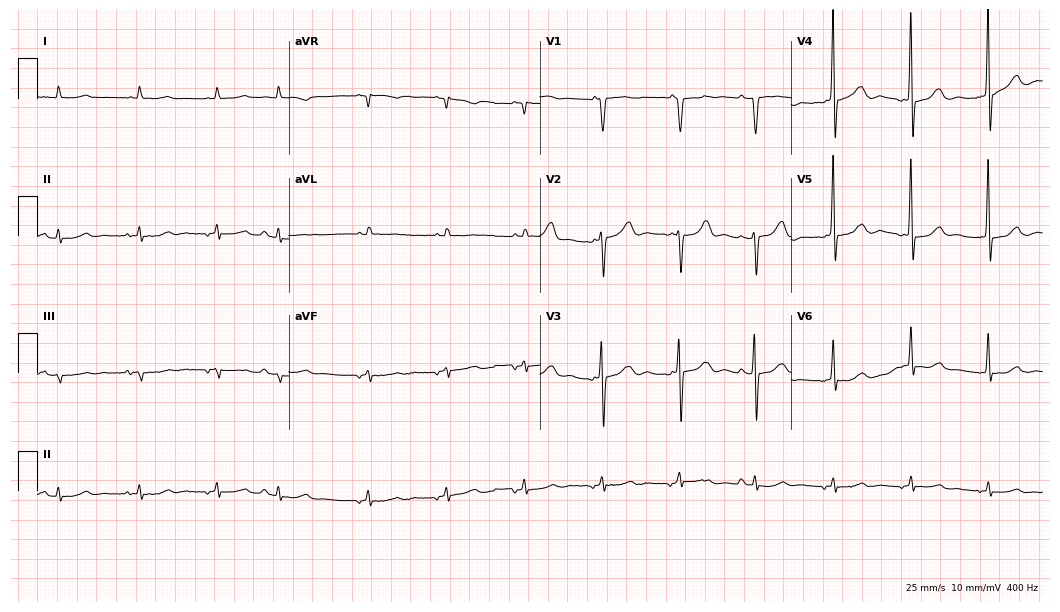
Electrocardiogram, an 85-year-old female. Of the six screened findings (first-degree AV block, right bundle branch block (RBBB), left bundle branch block (LBBB), sinus bradycardia, atrial fibrillation (AF), sinus tachycardia), none is recorded.